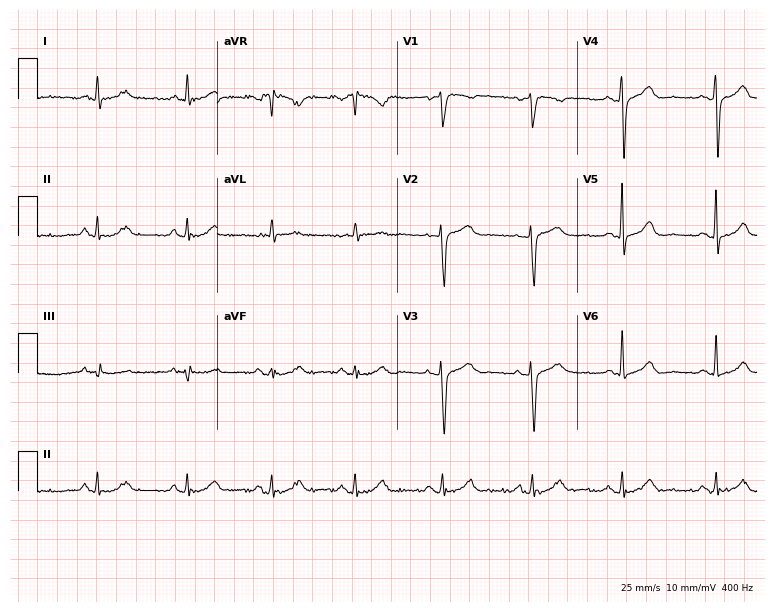
ECG — a woman, 73 years old. Labelled as a normal ECG.